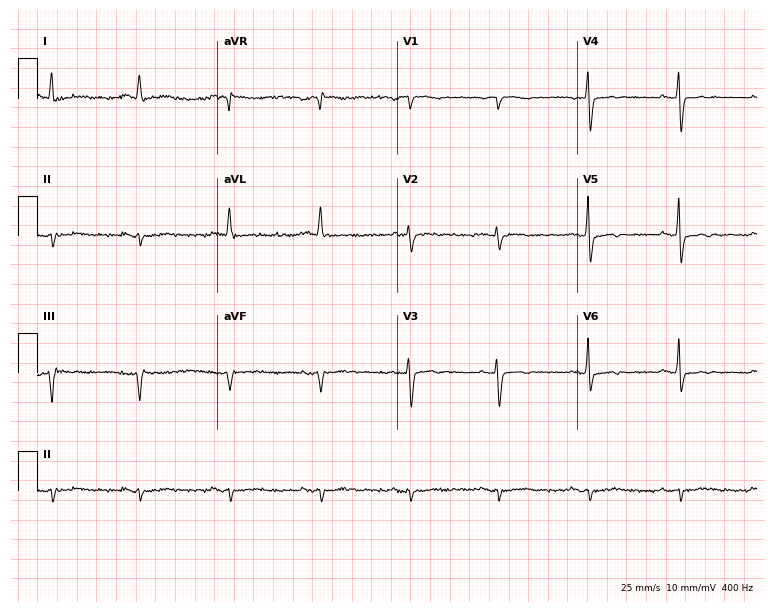
ECG (7.3-second recording at 400 Hz) — a man, 63 years old. Screened for six findings — first-degree AV block, right bundle branch block (RBBB), left bundle branch block (LBBB), sinus bradycardia, atrial fibrillation (AF), sinus tachycardia — none is recorded. Findings outside these six are not listed.